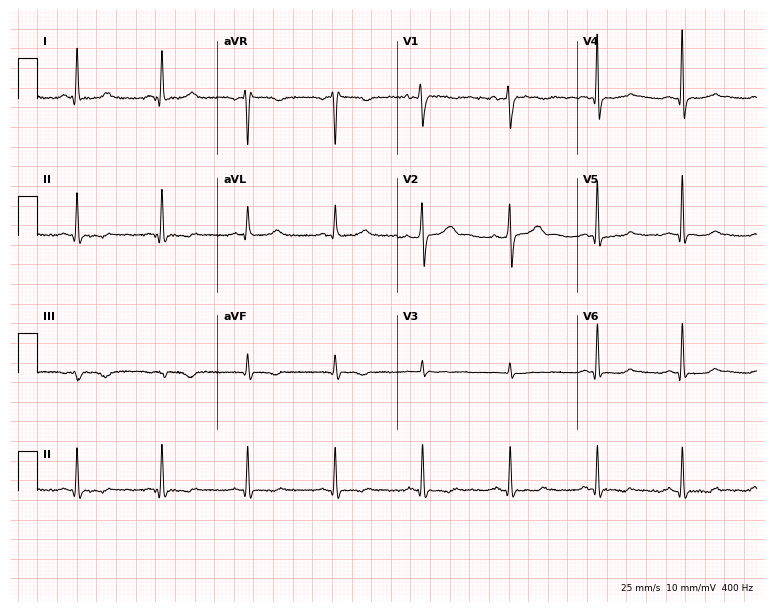
Resting 12-lead electrocardiogram (7.3-second recording at 400 Hz). Patient: a female, 40 years old. Read as a normal ECG.